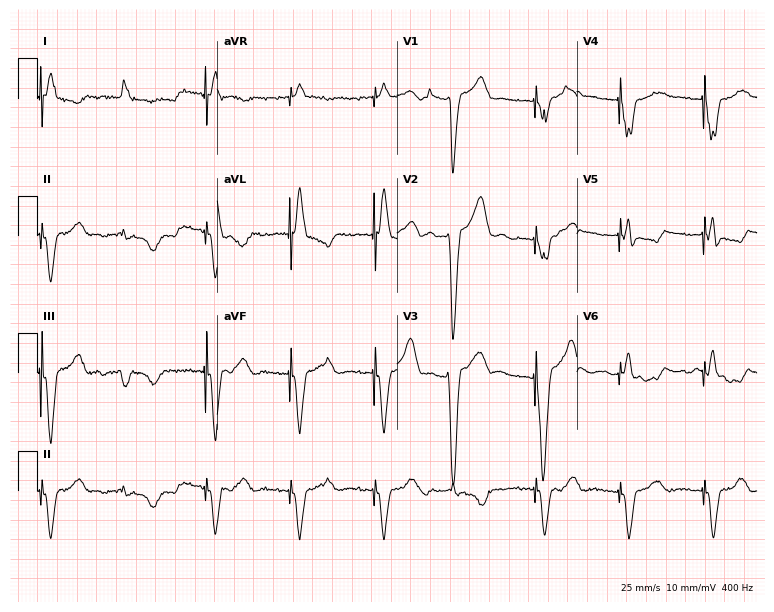
Standard 12-lead ECG recorded from a female patient, 85 years old (7.3-second recording at 400 Hz). None of these six findings is recorded: first-degree AV block, right bundle branch block, left bundle branch block, sinus bradycardia, atrial fibrillation, sinus tachycardia. Findings outside these six are not listed.